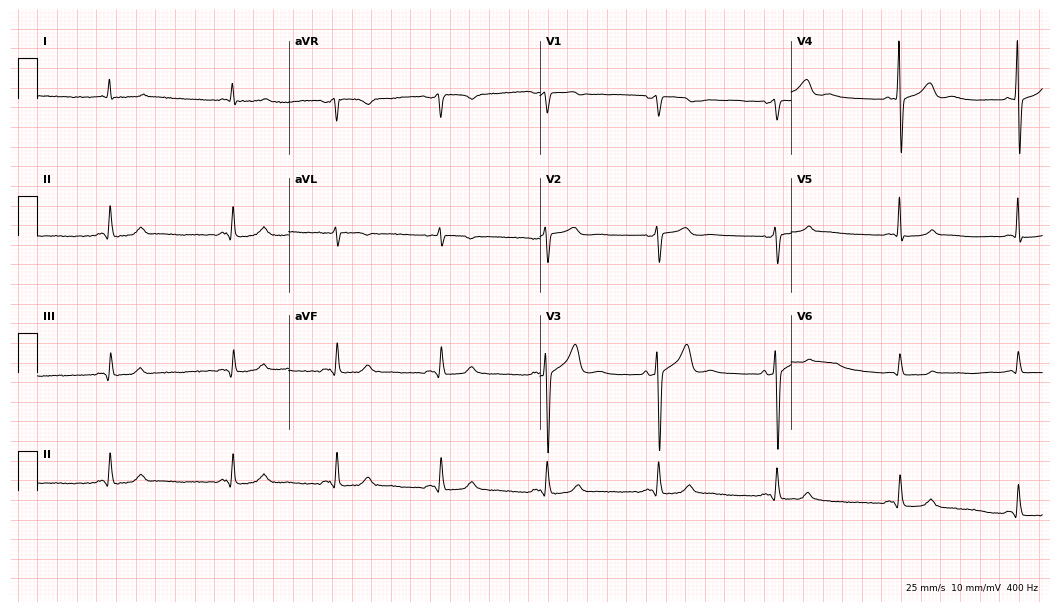
12-lead ECG from a 76-year-old female. No first-degree AV block, right bundle branch block, left bundle branch block, sinus bradycardia, atrial fibrillation or sinus tachycardia recorded for this tracing. Only these six findings were labelled.